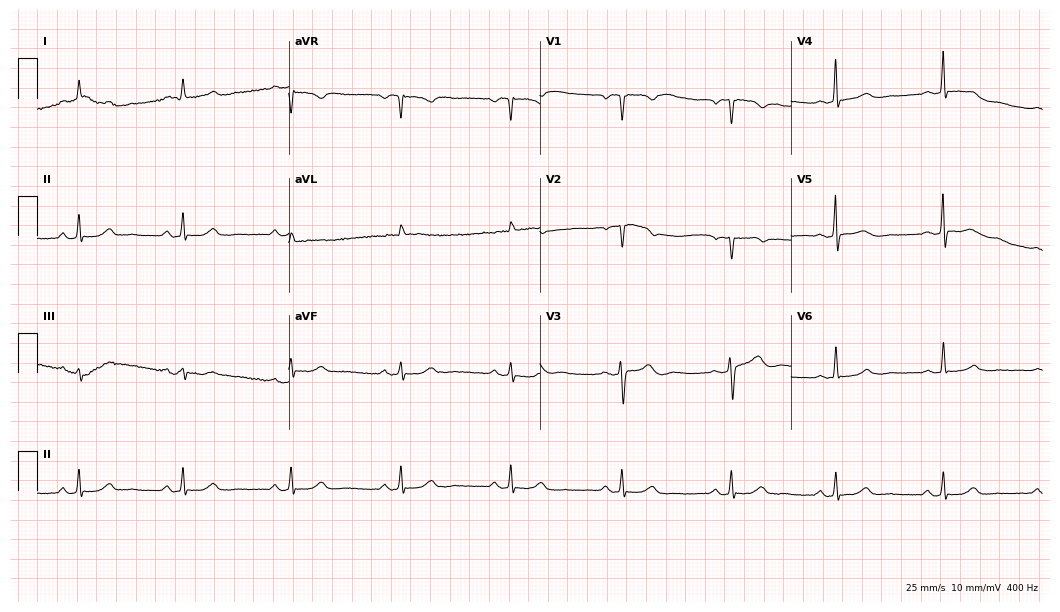
12-lead ECG from a 52-year-old female. Labelled as a normal ECG.